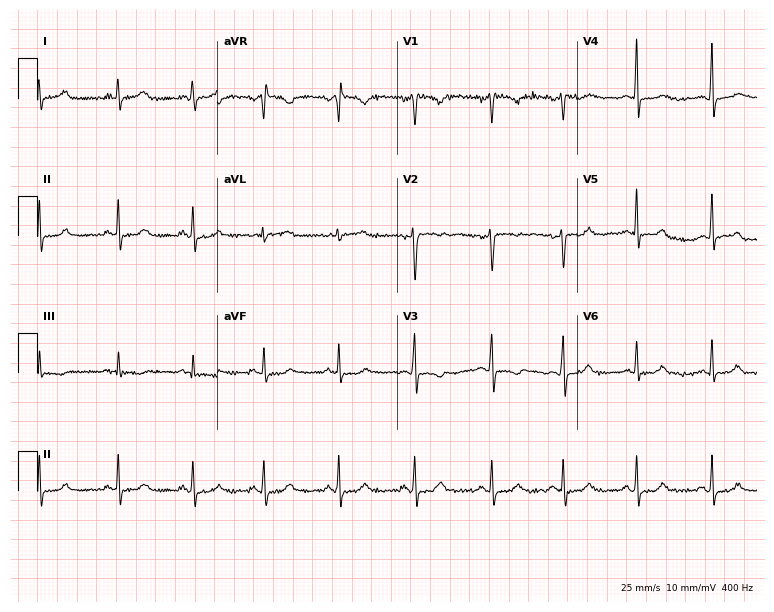
ECG (7.3-second recording at 400 Hz) — a 37-year-old woman. Screened for six findings — first-degree AV block, right bundle branch block, left bundle branch block, sinus bradycardia, atrial fibrillation, sinus tachycardia — none is recorded.